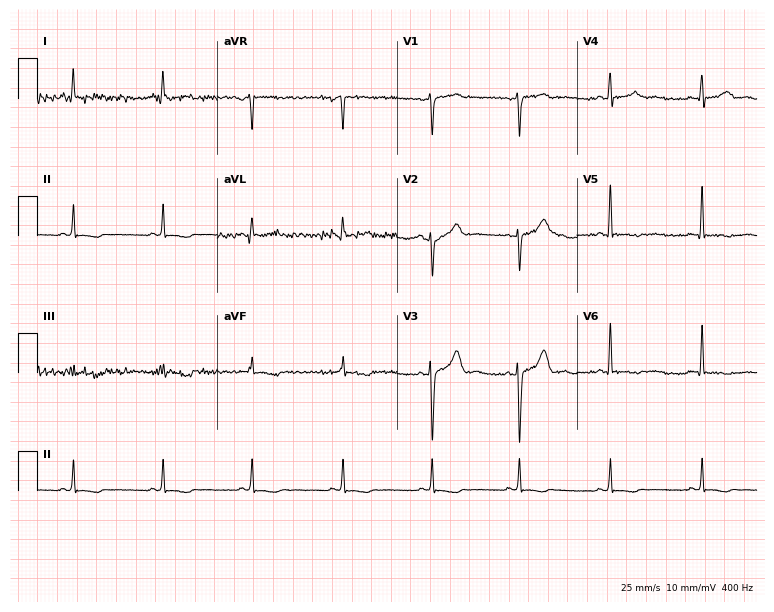
Resting 12-lead electrocardiogram (7.3-second recording at 400 Hz). Patient: a female, 45 years old. None of these six findings is recorded: first-degree AV block, right bundle branch block, left bundle branch block, sinus bradycardia, atrial fibrillation, sinus tachycardia. Other findings, if any, are not listed.